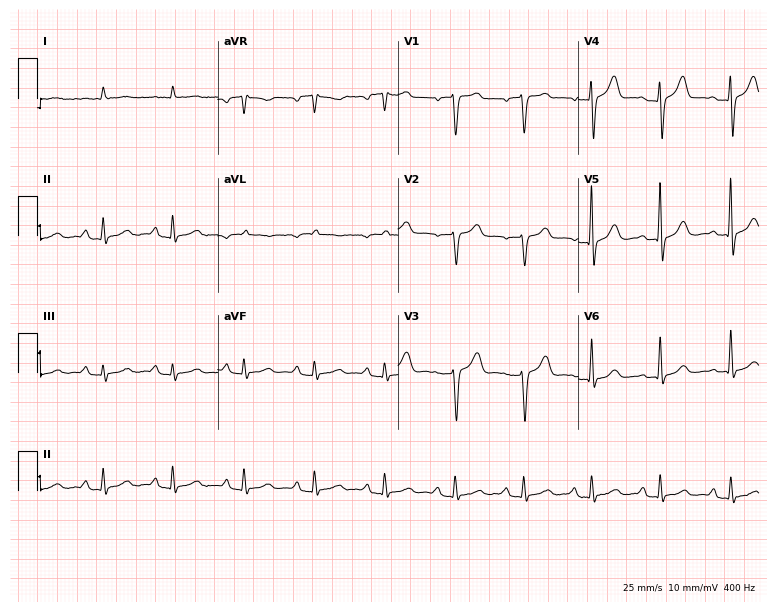
12-lead ECG from a man, 82 years old (7.4-second recording at 400 Hz). No first-degree AV block, right bundle branch block, left bundle branch block, sinus bradycardia, atrial fibrillation or sinus tachycardia recorded for this tracing. Only these six findings were labelled.